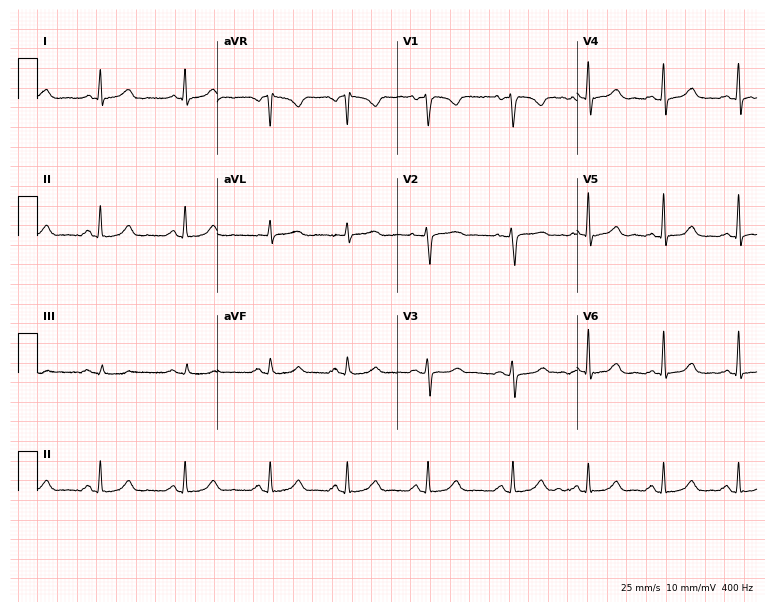
Electrocardiogram, a female patient, 41 years old. Overall reading on record: normal ECG.